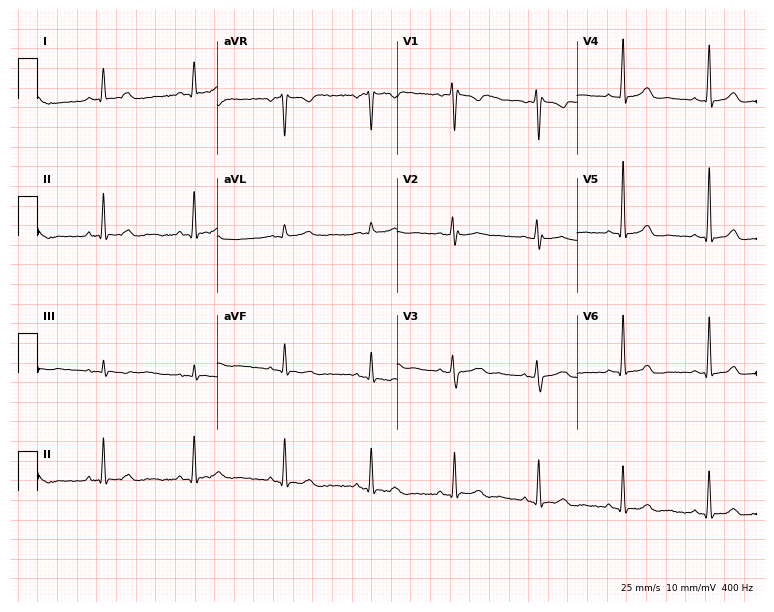
Standard 12-lead ECG recorded from a female, 39 years old. None of these six findings is recorded: first-degree AV block, right bundle branch block (RBBB), left bundle branch block (LBBB), sinus bradycardia, atrial fibrillation (AF), sinus tachycardia. Other findings, if any, are not listed.